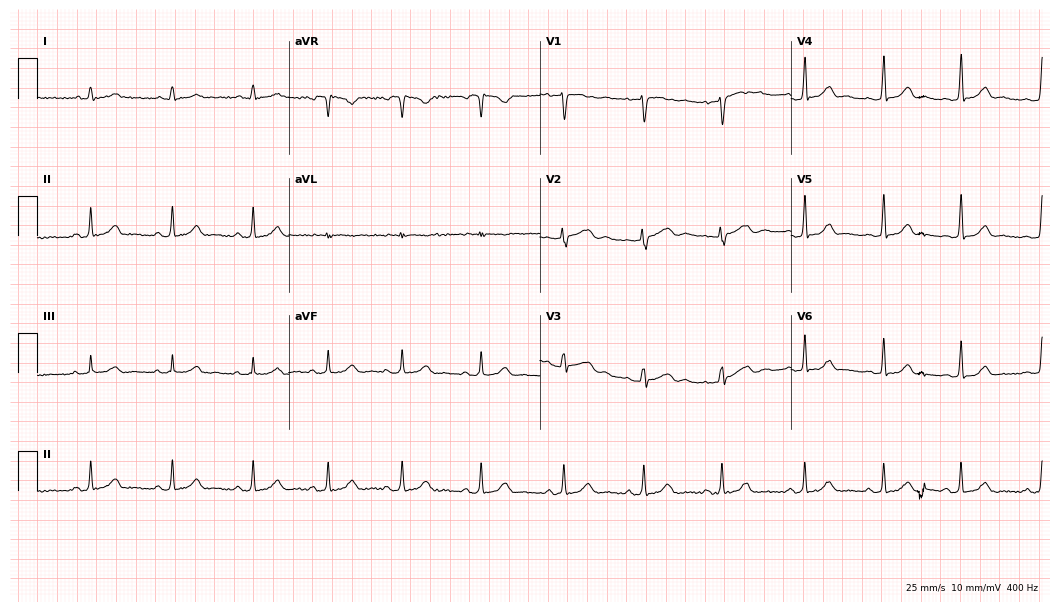
12-lead ECG from a 20-year-old female (10.2-second recording at 400 Hz). Recorded interpretation: within normal limits.